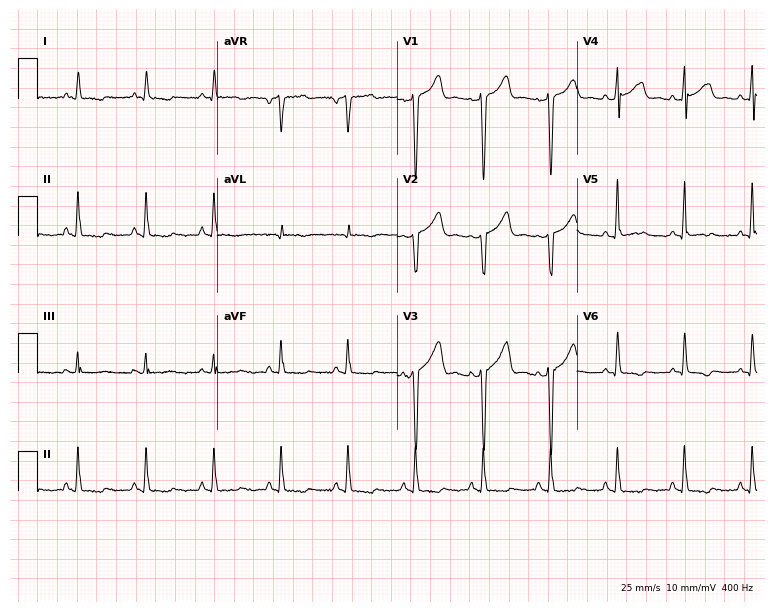
ECG — a male, 66 years old. Screened for six findings — first-degree AV block, right bundle branch block (RBBB), left bundle branch block (LBBB), sinus bradycardia, atrial fibrillation (AF), sinus tachycardia — none is recorded. Findings outside these six are not listed.